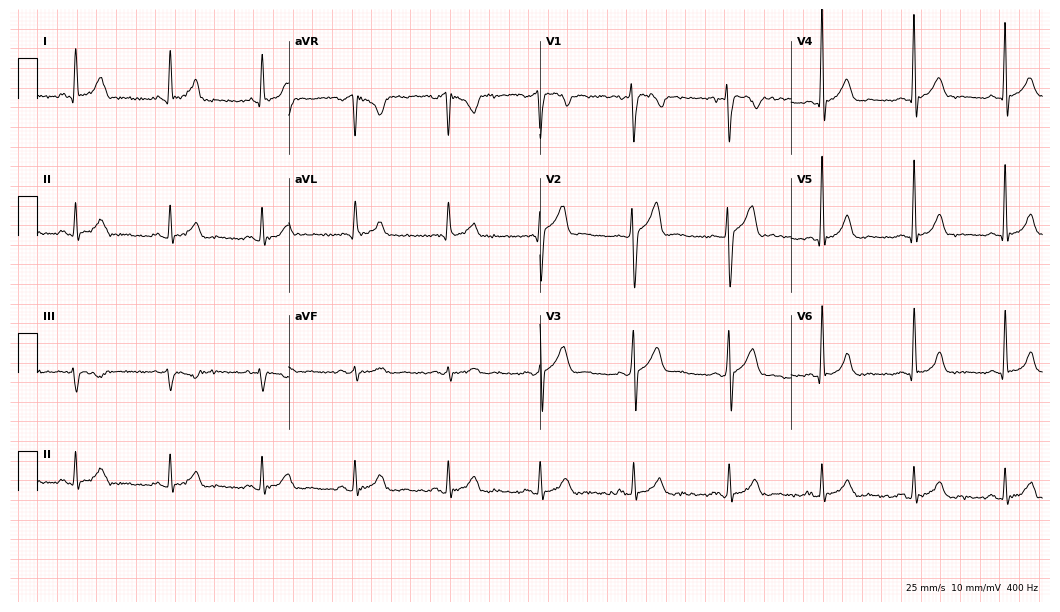
ECG — a male patient, 32 years old. Labelled as a normal ECG.